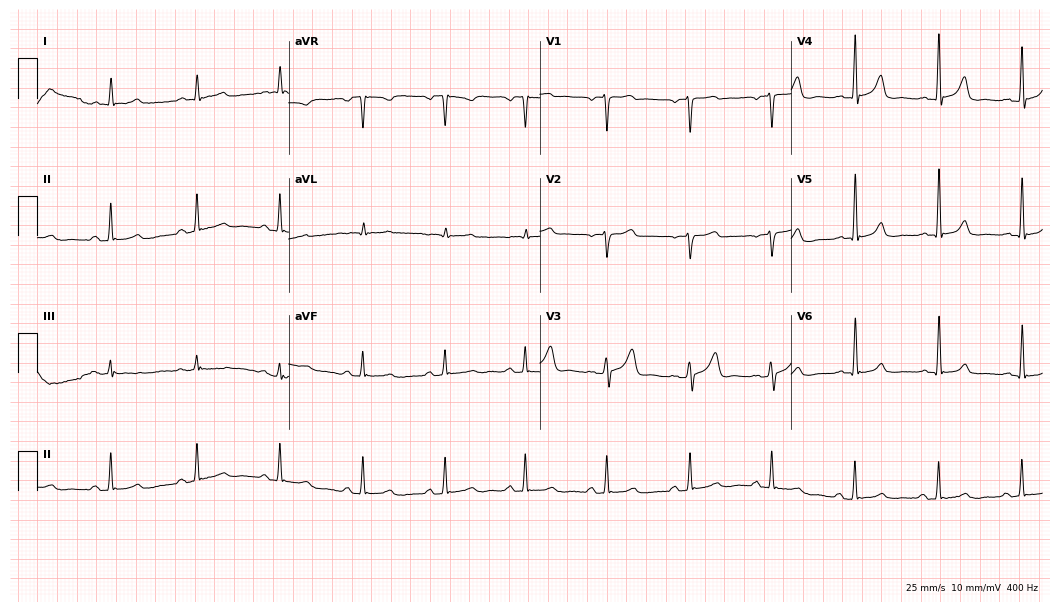
Standard 12-lead ECG recorded from a man, 33 years old. None of these six findings is recorded: first-degree AV block, right bundle branch block (RBBB), left bundle branch block (LBBB), sinus bradycardia, atrial fibrillation (AF), sinus tachycardia. Other findings, if any, are not listed.